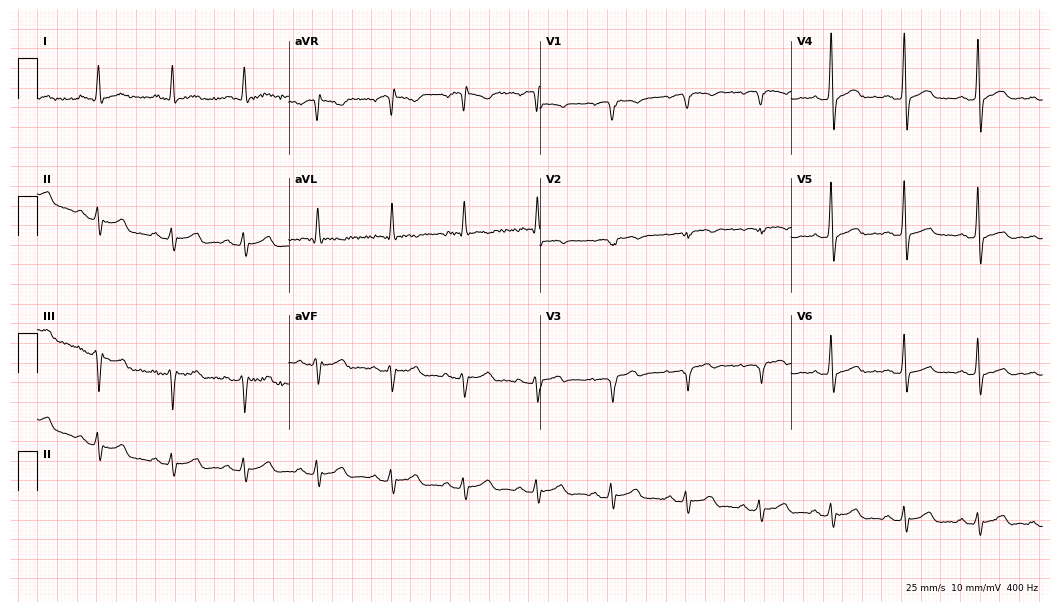
ECG — a 45-year-old man. Screened for six findings — first-degree AV block, right bundle branch block, left bundle branch block, sinus bradycardia, atrial fibrillation, sinus tachycardia — none is recorded. Other findings, if any, are not listed.